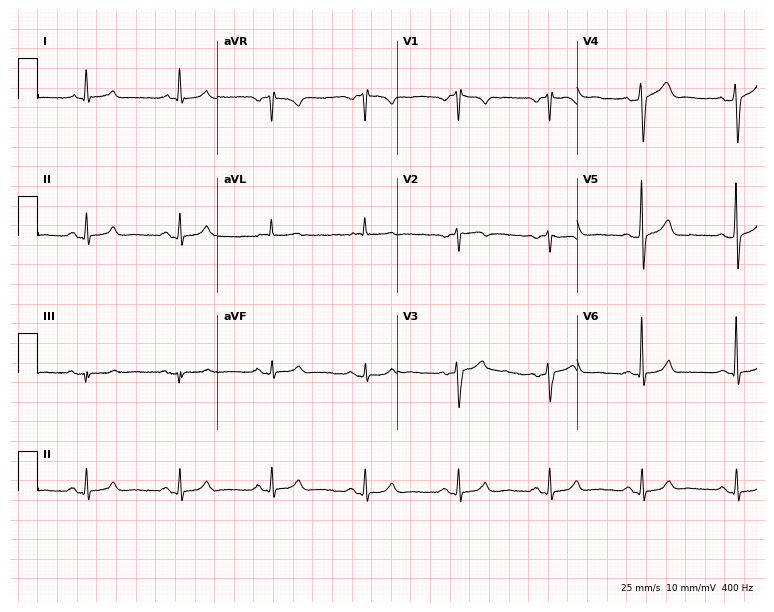
Standard 12-lead ECG recorded from a male, 52 years old (7.3-second recording at 400 Hz). Read as a normal ECG.